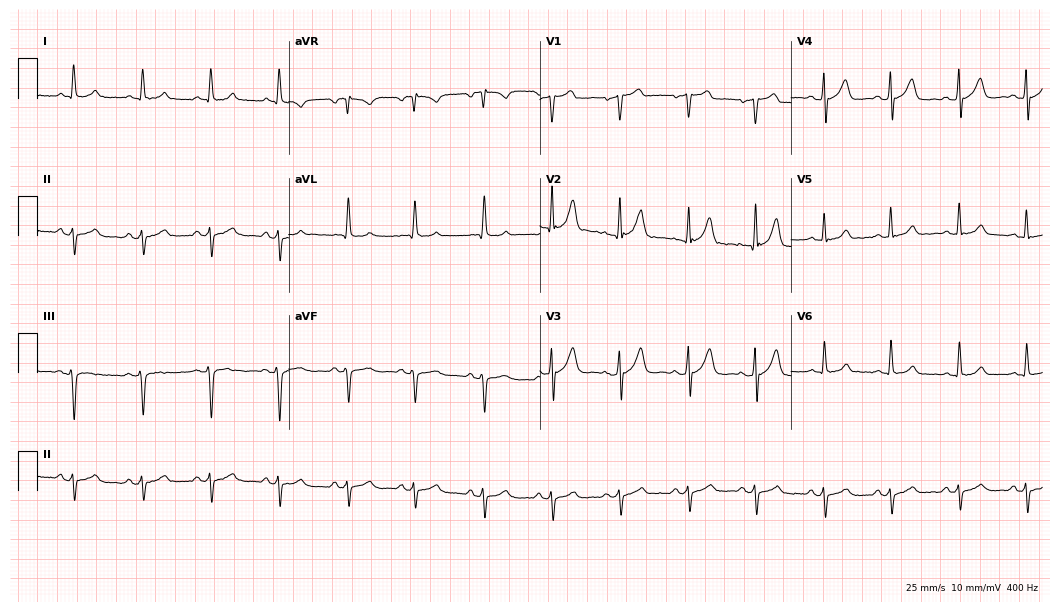
Standard 12-lead ECG recorded from a male patient, 83 years old (10.2-second recording at 400 Hz). None of these six findings is recorded: first-degree AV block, right bundle branch block, left bundle branch block, sinus bradycardia, atrial fibrillation, sinus tachycardia.